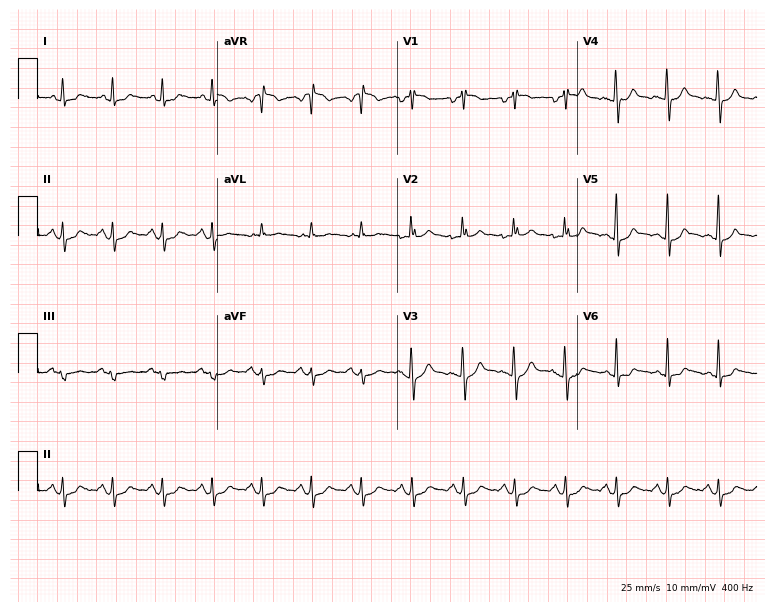
12-lead ECG (7.3-second recording at 400 Hz) from a woman, 45 years old. Findings include sinus tachycardia (a sinus rate of 100 beats per minute or more).